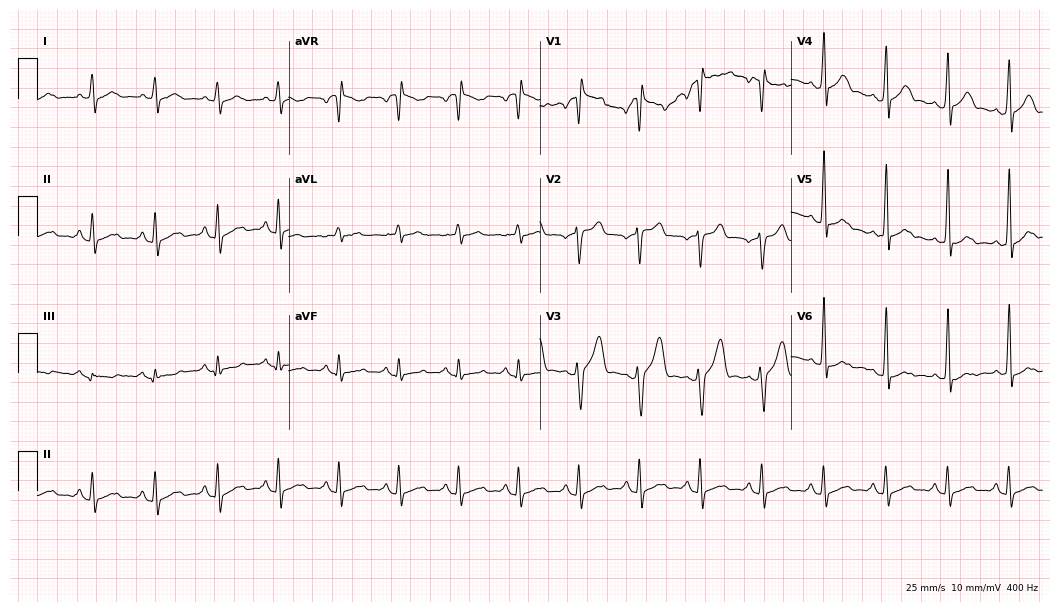
12-lead ECG from a 40-year-old woman (10.2-second recording at 400 Hz). No first-degree AV block, right bundle branch block (RBBB), left bundle branch block (LBBB), sinus bradycardia, atrial fibrillation (AF) or sinus tachycardia recorded for this tracing. Other findings, if any, are not listed.